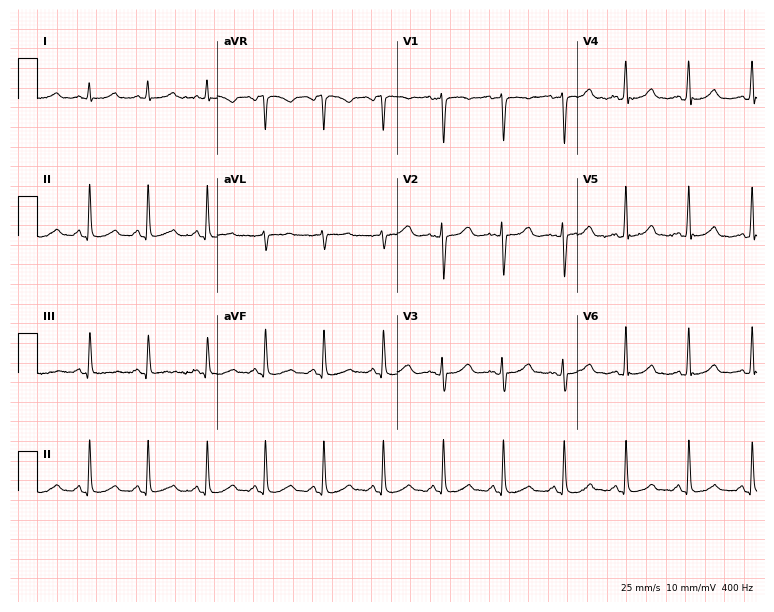
Electrocardiogram, a 41-year-old female. Overall reading on record: normal ECG.